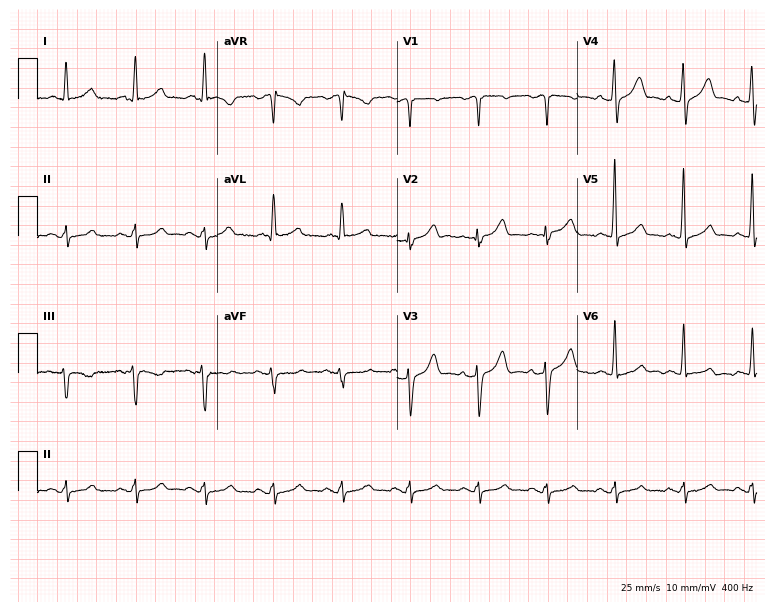
12-lead ECG (7.3-second recording at 400 Hz) from a male patient, 60 years old. Screened for six findings — first-degree AV block, right bundle branch block (RBBB), left bundle branch block (LBBB), sinus bradycardia, atrial fibrillation (AF), sinus tachycardia — none is recorded. Findings outside these six are not listed.